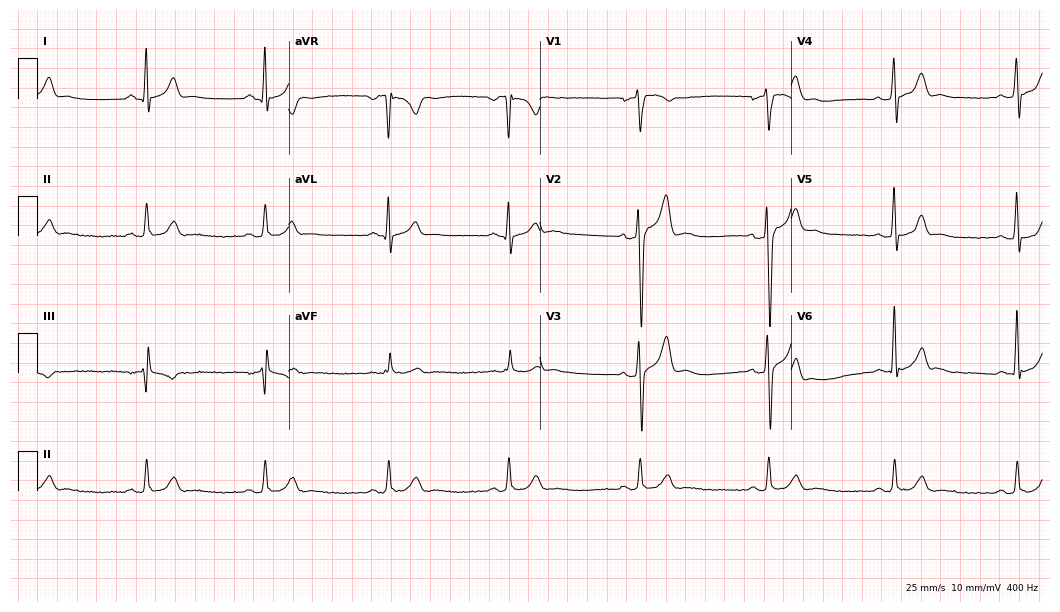
Resting 12-lead electrocardiogram (10.2-second recording at 400 Hz). Patient: a 27-year-old male. The tracing shows sinus bradycardia (a sinus rate of 50 beats per minute or less).